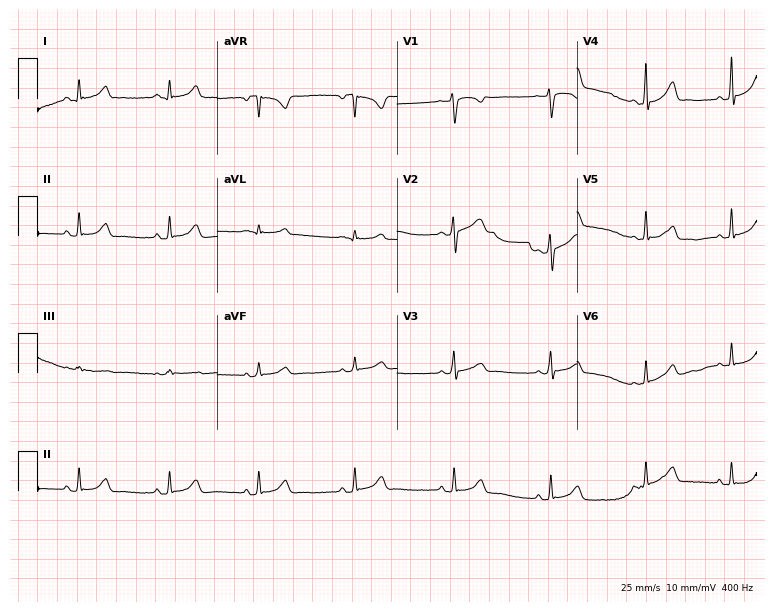
12-lead ECG from a 28-year-old female patient. Screened for six findings — first-degree AV block, right bundle branch block (RBBB), left bundle branch block (LBBB), sinus bradycardia, atrial fibrillation (AF), sinus tachycardia — none is recorded. Other findings, if any, are not listed.